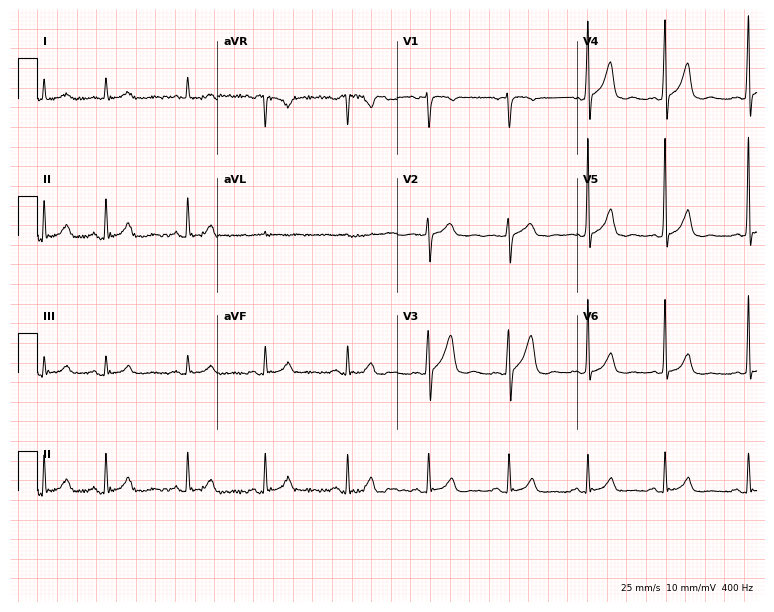
ECG — a 41-year-old male. Labelled as a normal ECG.